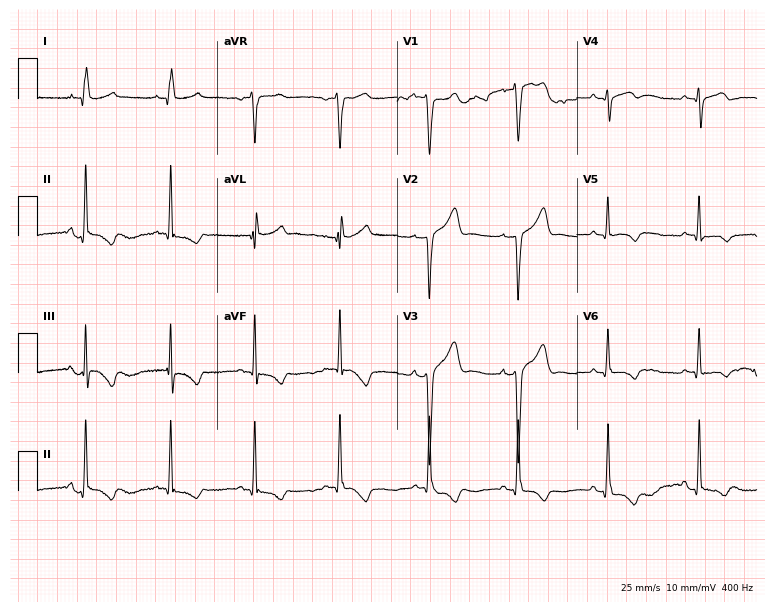
Standard 12-lead ECG recorded from a woman, 40 years old. None of these six findings is recorded: first-degree AV block, right bundle branch block (RBBB), left bundle branch block (LBBB), sinus bradycardia, atrial fibrillation (AF), sinus tachycardia.